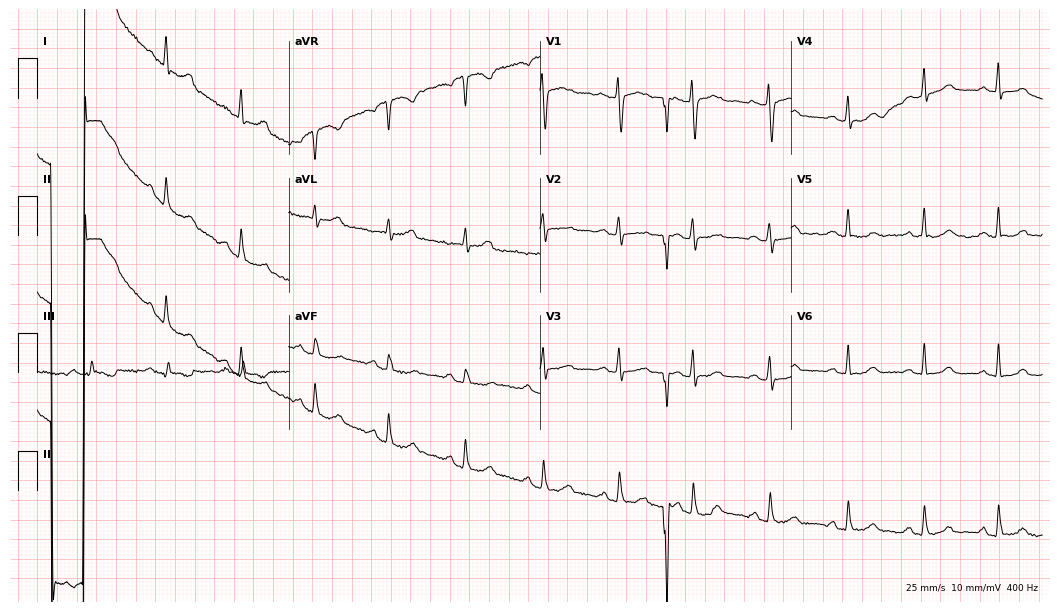
ECG — a female patient, 32 years old. Screened for six findings — first-degree AV block, right bundle branch block (RBBB), left bundle branch block (LBBB), sinus bradycardia, atrial fibrillation (AF), sinus tachycardia — none is recorded.